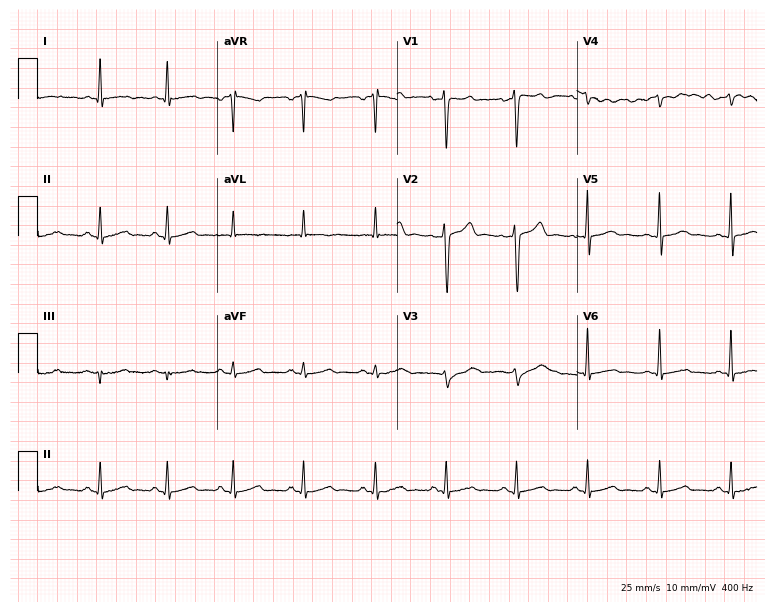
12-lead ECG from a 49-year-old male patient. Recorded interpretation: within normal limits.